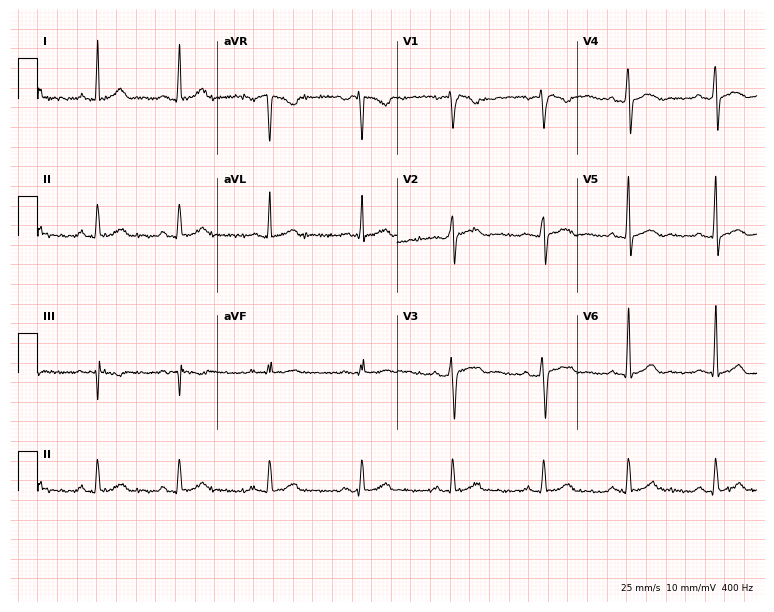
Standard 12-lead ECG recorded from a male patient, 30 years old (7.3-second recording at 400 Hz). Read as a normal ECG.